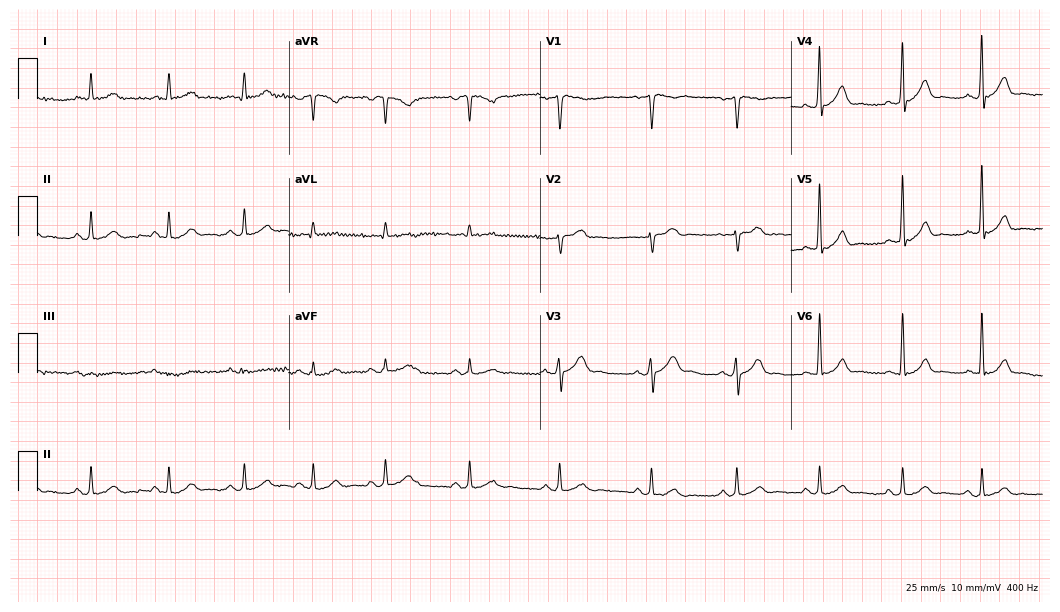
Standard 12-lead ECG recorded from a male, 37 years old (10.2-second recording at 400 Hz). Read as a normal ECG.